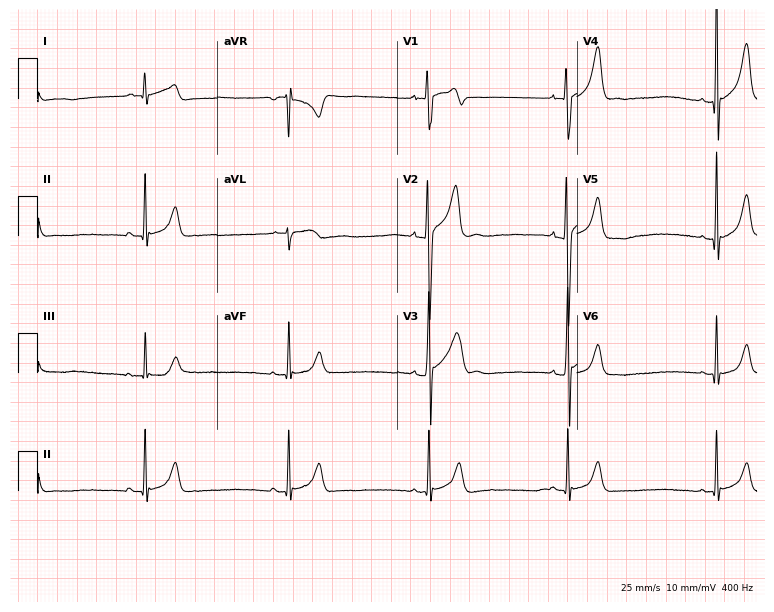
12-lead ECG from a male, 18 years old. Screened for six findings — first-degree AV block, right bundle branch block (RBBB), left bundle branch block (LBBB), sinus bradycardia, atrial fibrillation (AF), sinus tachycardia — none is recorded.